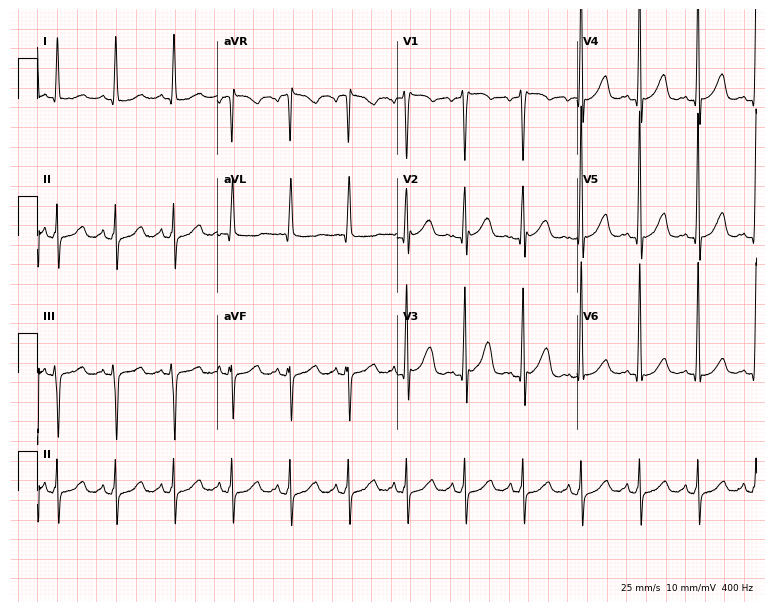
12-lead ECG (7.3-second recording at 400 Hz) from a male, 60 years old. Screened for six findings — first-degree AV block, right bundle branch block (RBBB), left bundle branch block (LBBB), sinus bradycardia, atrial fibrillation (AF), sinus tachycardia — none is recorded.